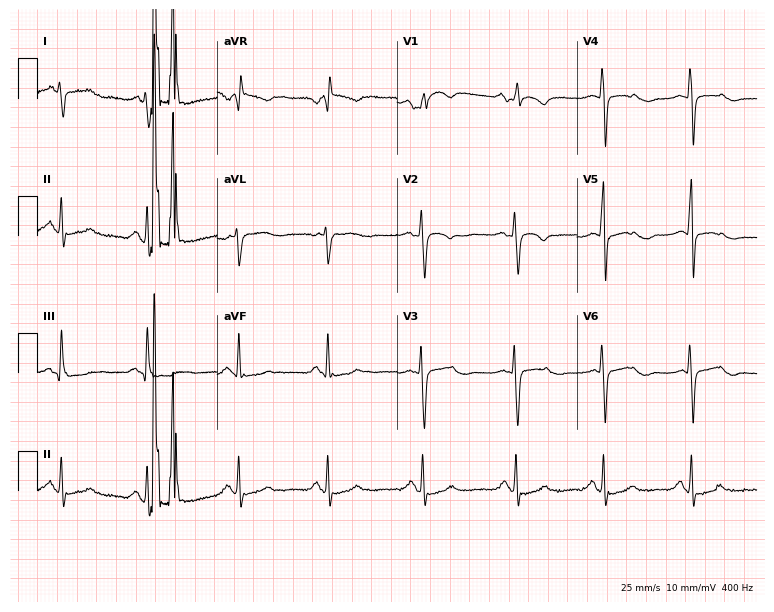
Resting 12-lead electrocardiogram. Patient: a female, 27 years old. None of these six findings is recorded: first-degree AV block, right bundle branch block, left bundle branch block, sinus bradycardia, atrial fibrillation, sinus tachycardia.